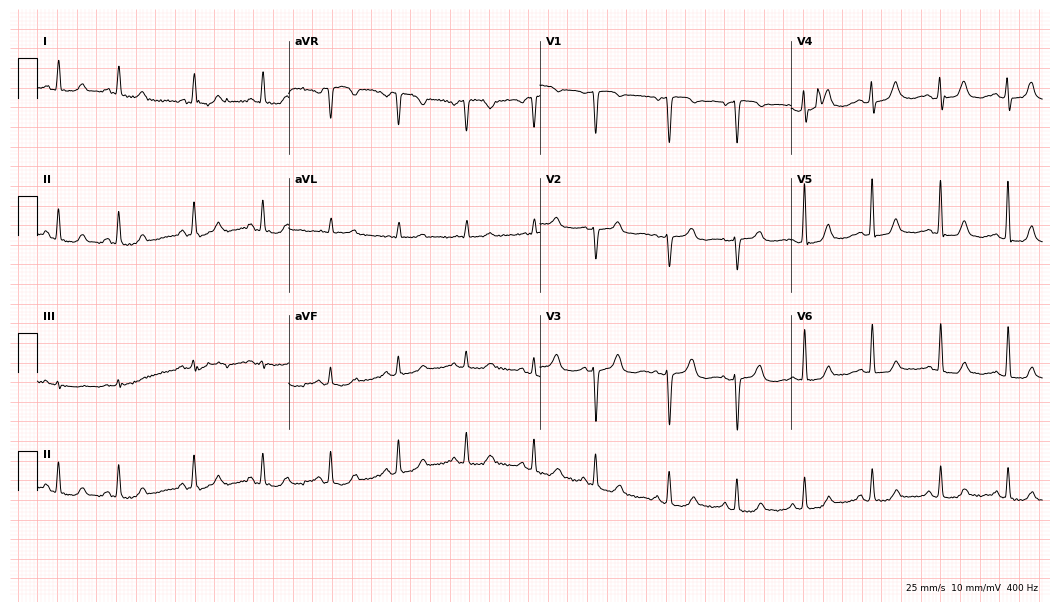
ECG — a 55-year-old female. Screened for six findings — first-degree AV block, right bundle branch block, left bundle branch block, sinus bradycardia, atrial fibrillation, sinus tachycardia — none is recorded. Only these six findings were labelled.